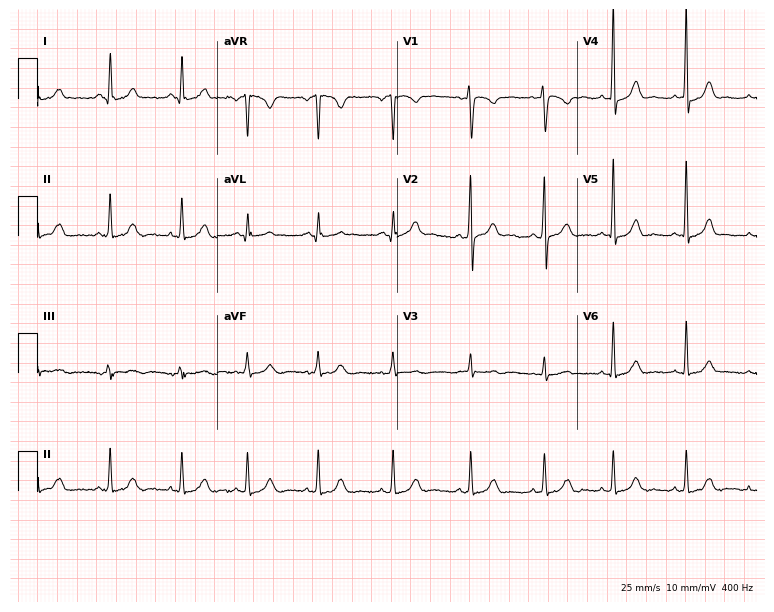
12-lead ECG from a female, 19 years old (7.3-second recording at 400 Hz). Recorded interpretation: within normal limits.